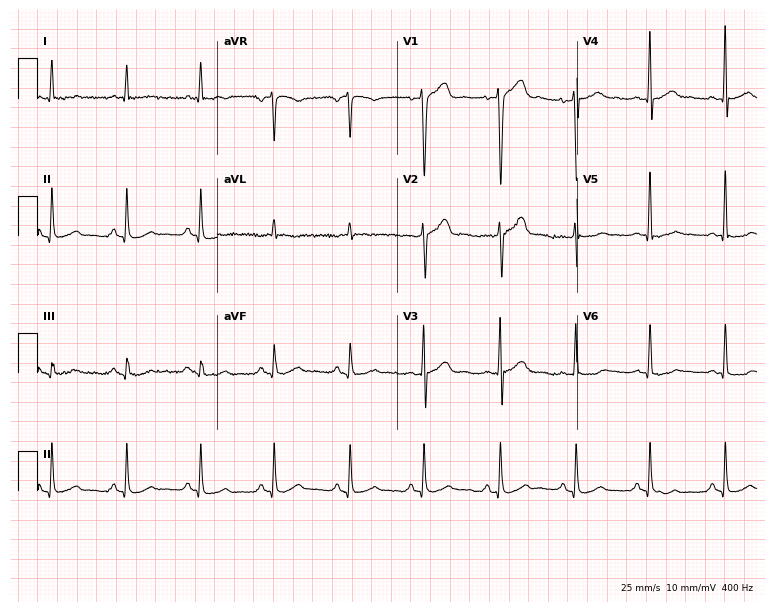
12-lead ECG from a 40-year-old male (7.3-second recording at 400 Hz). Recorded interpretation: within normal limits.